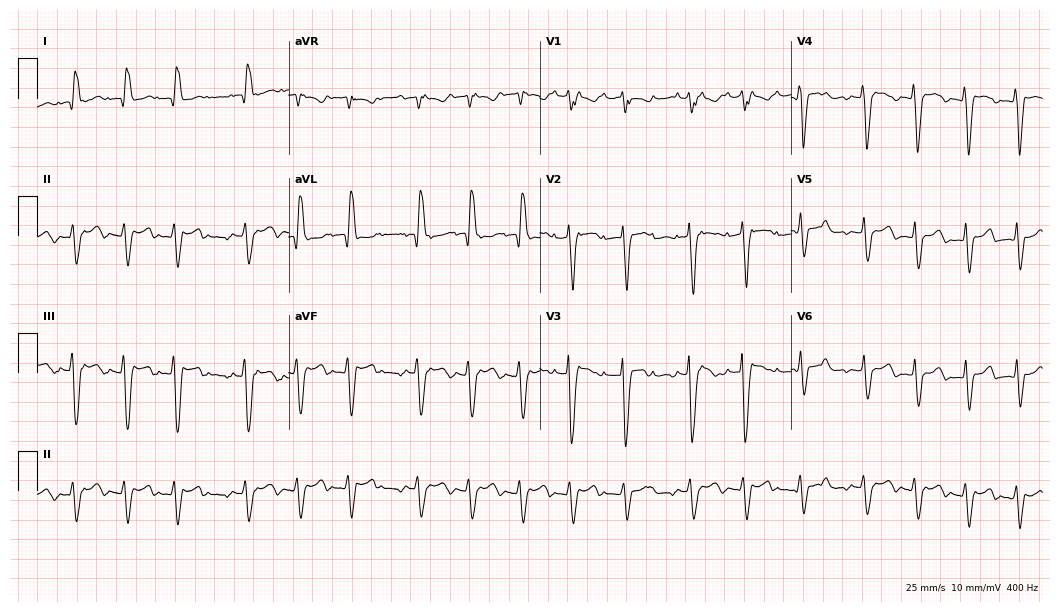
Resting 12-lead electrocardiogram (10.2-second recording at 400 Hz). Patient: a female, 42 years old. The tracing shows atrial fibrillation.